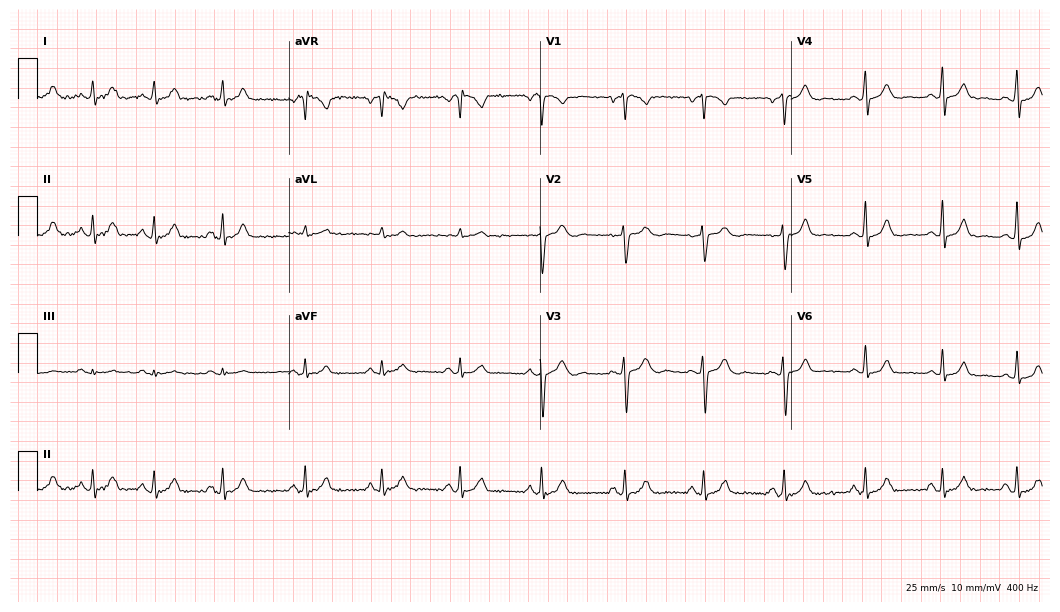
12-lead ECG from a 20-year-old female patient. Screened for six findings — first-degree AV block, right bundle branch block (RBBB), left bundle branch block (LBBB), sinus bradycardia, atrial fibrillation (AF), sinus tachycardia — none is recorded. Only these six findings were labelled.